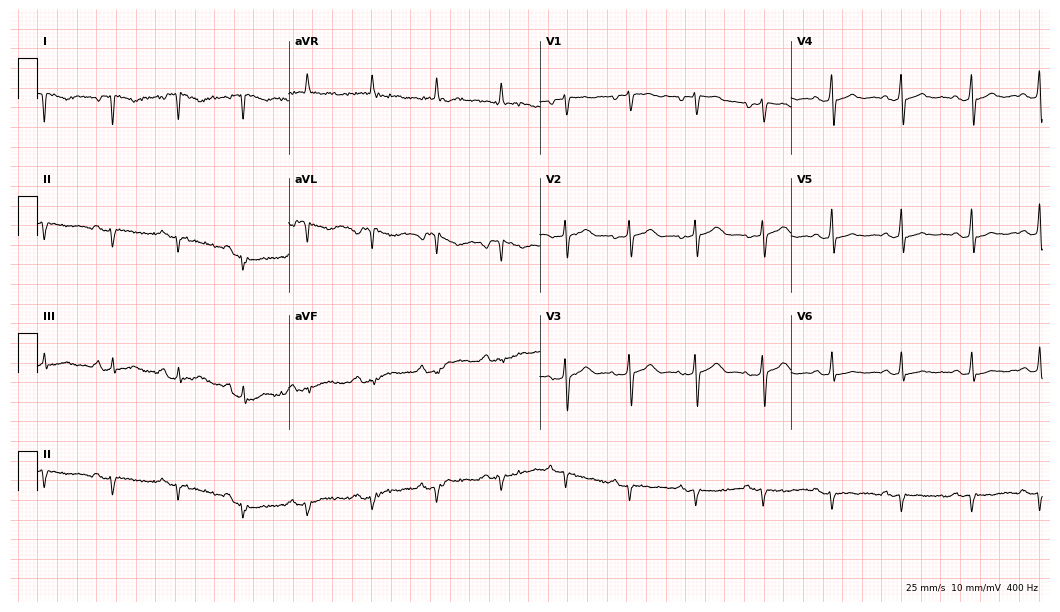
Resting 12-lead electrocardiogram (10.2-second recording at 400 Hz). Patient: a woman, 62 years old. None of these six findings is recorded: first-degree AV block, right bundle branch block, left bundle branch block, sinus bradycardia, atrial fibrillation, sinus tachycardia. Only these six findings were labelled.